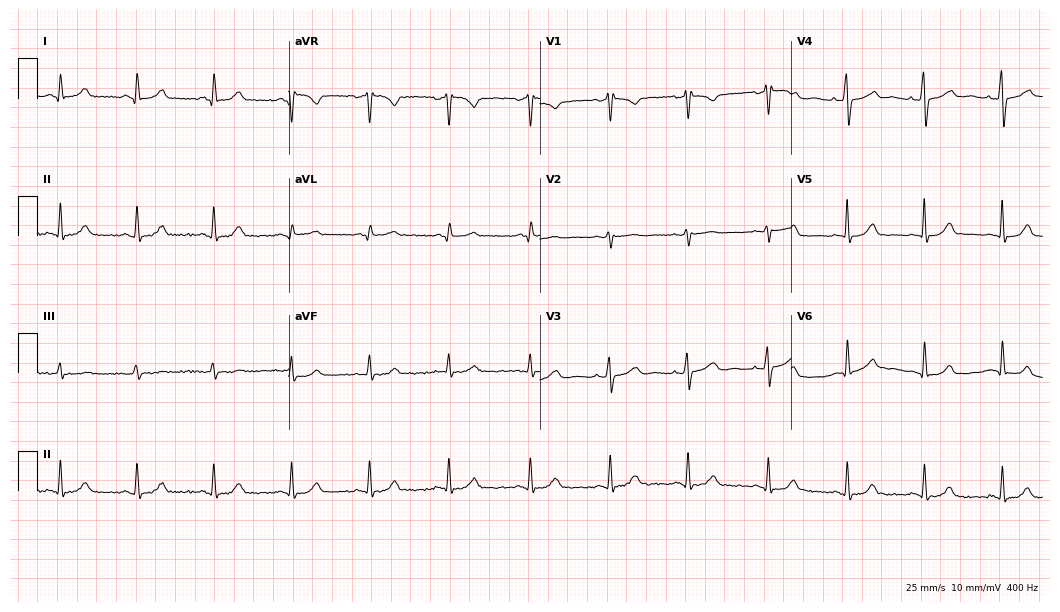
ECG (10.2-second recording at 400 Hz) — a 44-year-old female patient. Labelled as a normal ECG.